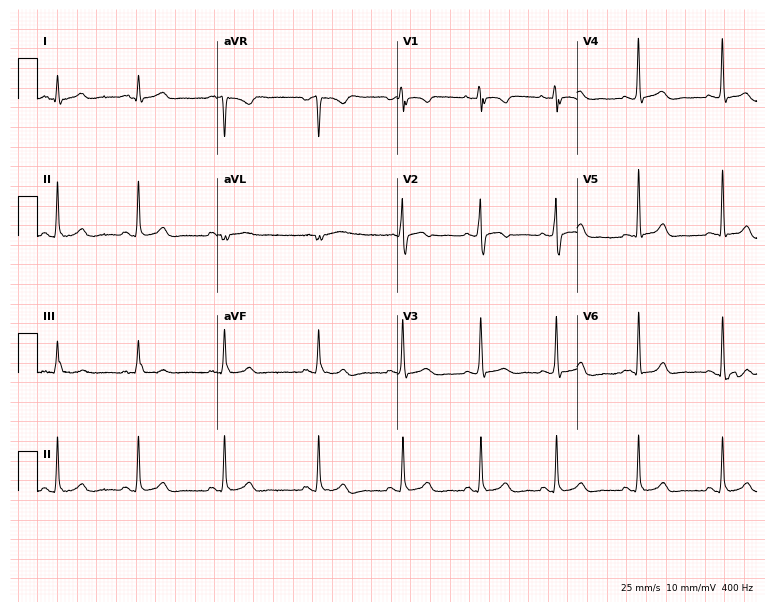
Standard 12-lead ECG recorded from a 24-year-old female. Read as a normal ECG.